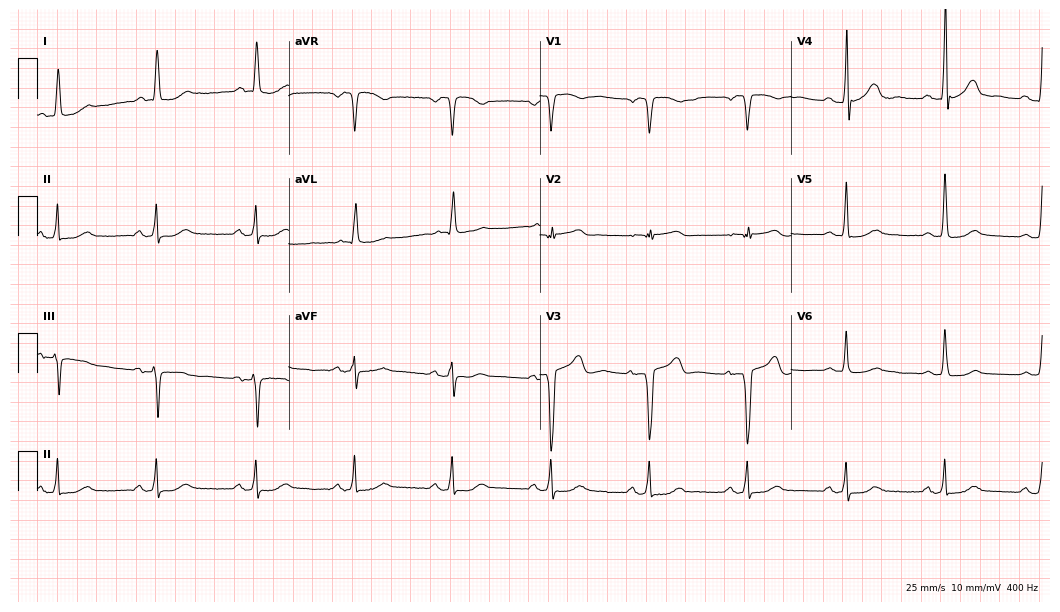
12-lead ECG (10.2-second recording at 400 Hz) from a 73-year-old woman. Labelled as a normal ECG.